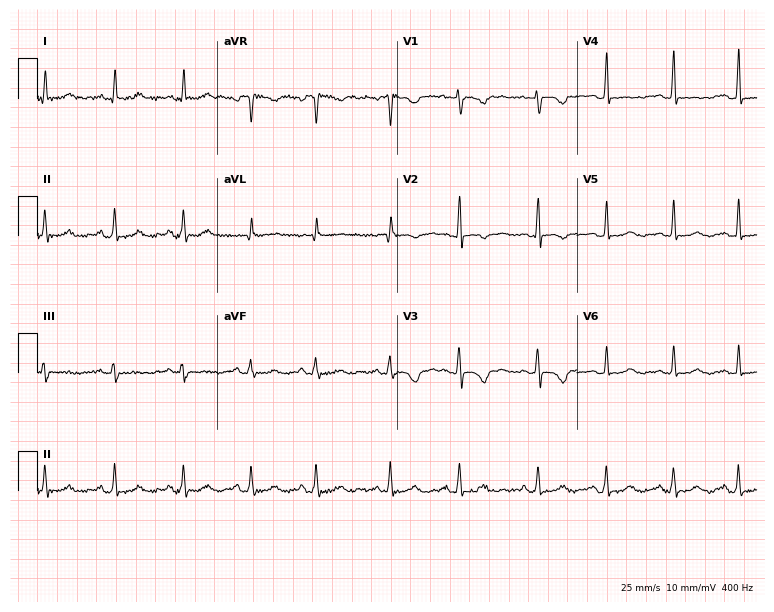
12-lead ECG from a female patient, 28 years old (7.3-second recording at 400 Hz). No first-degree AV block, right bundle branch block, left bundle branch block, sinus bradycardia, atrial fibrillation or sinus tachycardia recorded for this tracing.